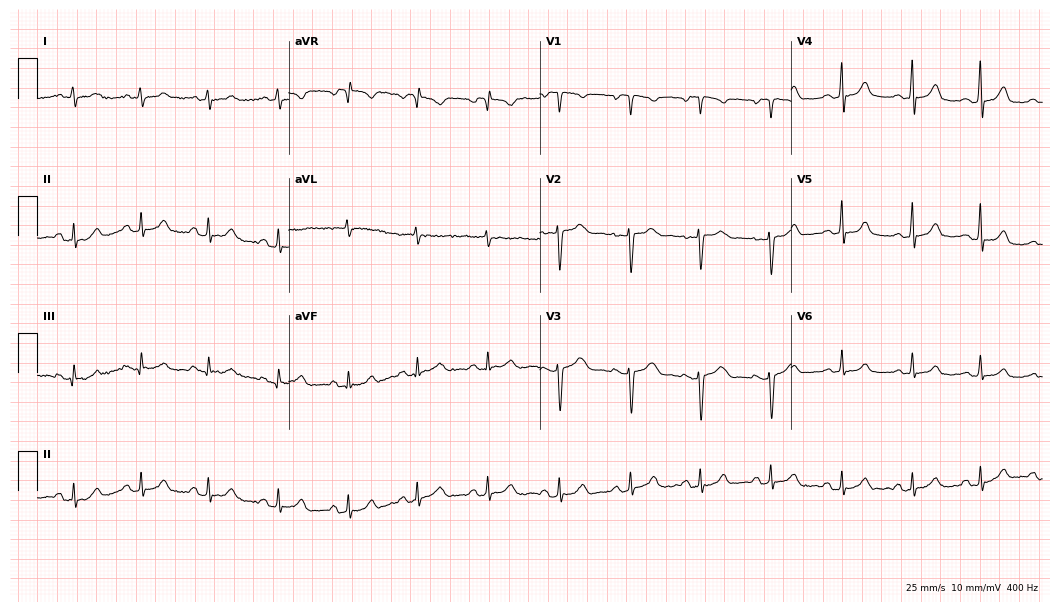
Electrocardiogram (10.2-second recording at 400 Hz), a female patient, 28 years old. Of the six screened findings (first-degree AV block, right bundle branch block, left bundle branch block, sinus bradycardia, atrial fibrillation, sinus tachycardia), none is recorded. Findings outside these six are not listed.